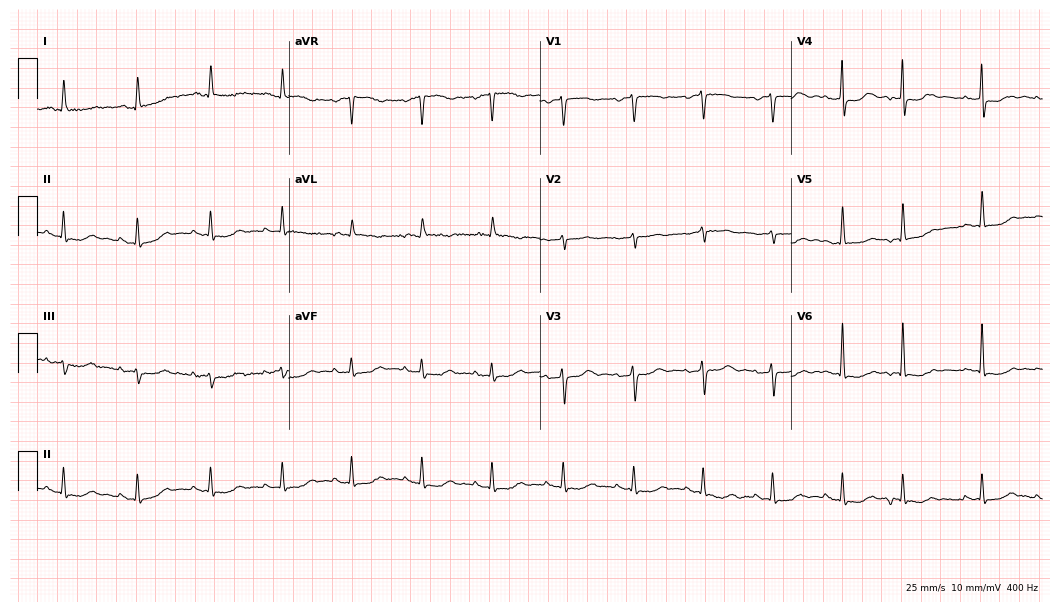
12-lead ECG (10.2-second recording at 400 Hz) from a 68-year-old female. Screened for six findings — first-degree AV block, right bundle branch block, left bundle branch block, sinus bradycardia, atrial fibrillation, sinus tachycardia — none is recorded.